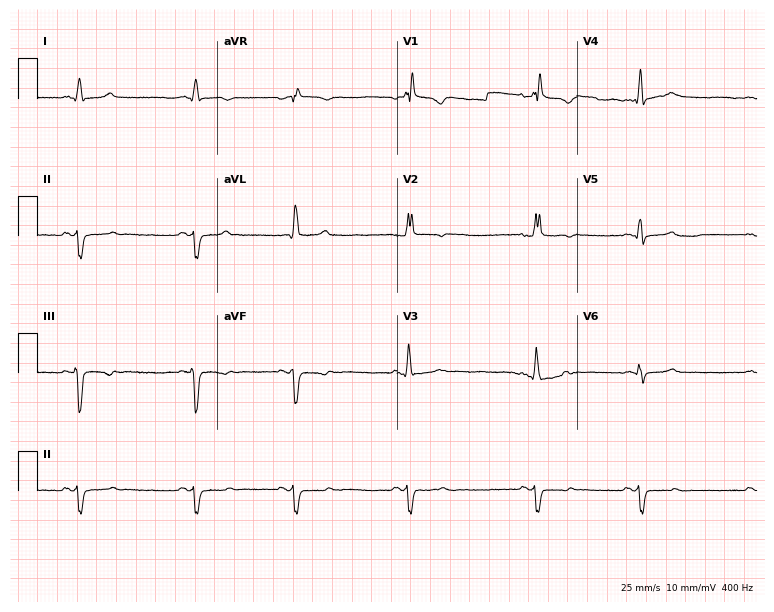
Standard 12-lead ECG recorded from a 41-year-old female patient (7.3-second recording at 400 Hz). The tracing shows right bundle branch block.